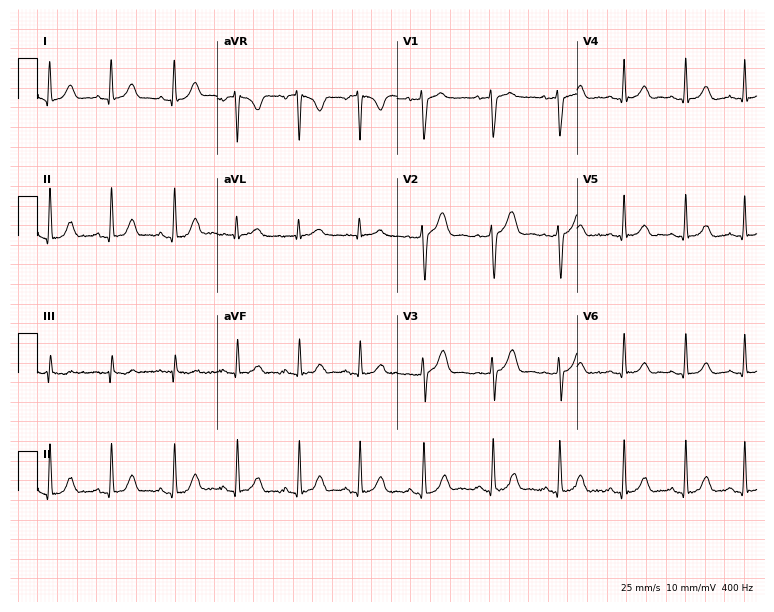
Electrocardiogram, a female, 22 years old. Overall reading on record: normal ECG.